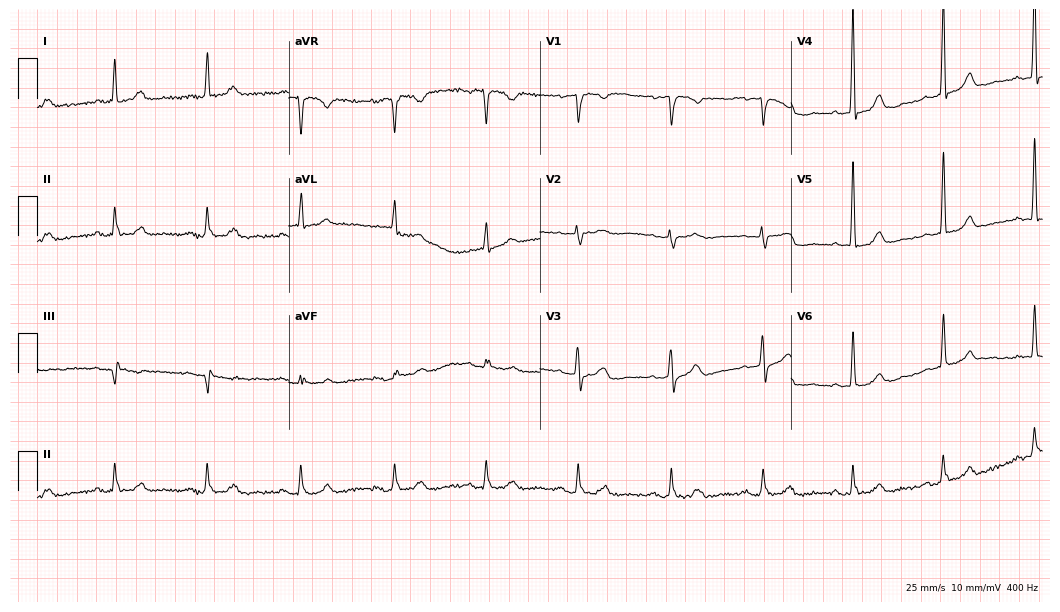
Resting 12-lead electrocardiogram (10.2-second recording at 400 Hz). Patient: a female, 70 years old. Read as a normal ECG.